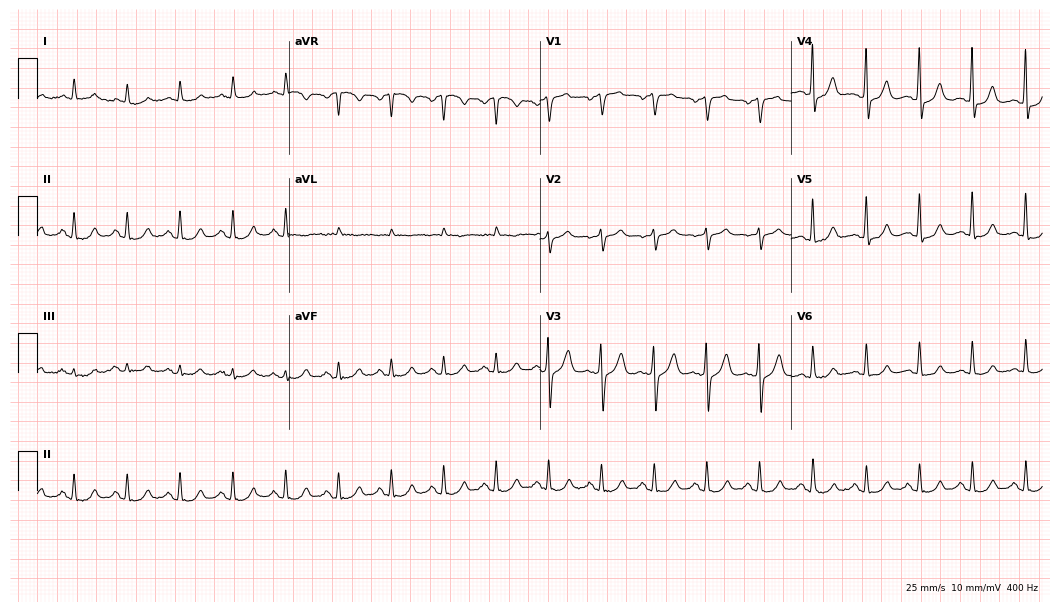
Resting 12-lead electrocardiogram (10.2-second recording at 400 Hz). Patient: a man, 65 years old. The tracing shows sinus tachycardia (a sinus rate of 100 beats per minute or more).